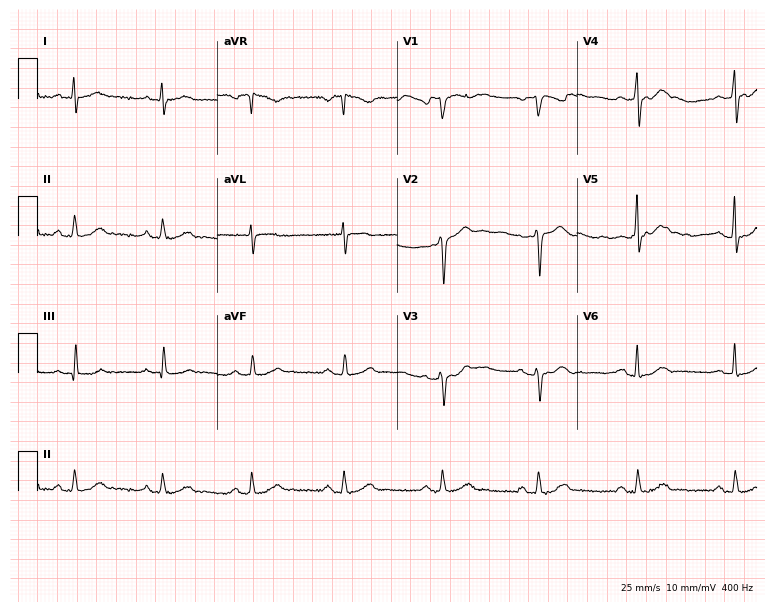
12-lead ECG from a 47-year-old male. Labelled as a normal ECG.